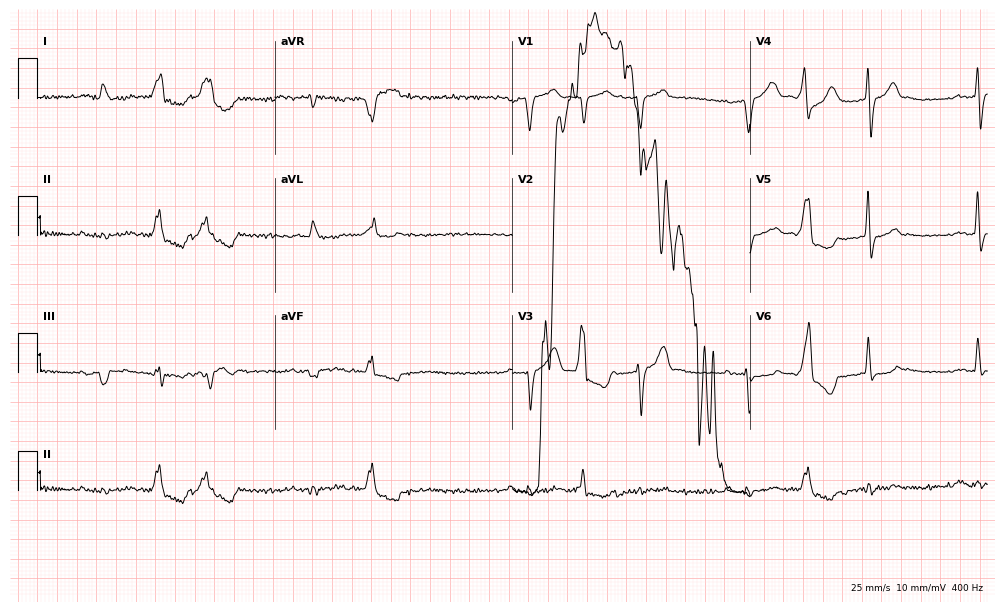
12-lead ECG (9.7-second recording at 400 Hz) from an 82-year-old male patient. Screened for six findings — first-degree AV block, right bundle branch block, left bundle branch block, sinus bradycardia, atrial fibrillation, sinus tachycardia — none is recorded.